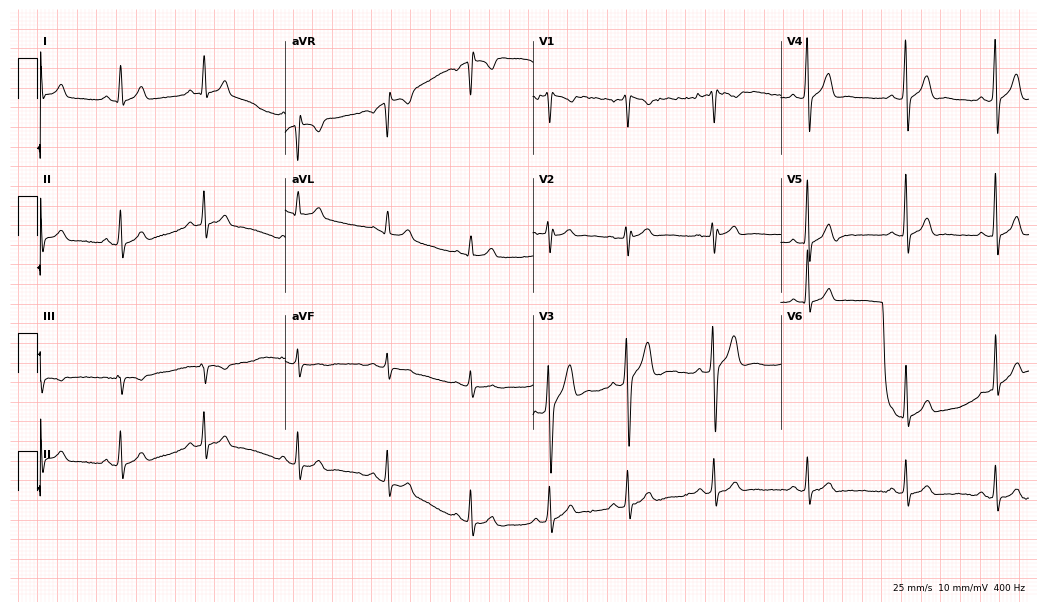
ECG — a 28-year-old male. Screened for six findings — first-degree AV block, right bundle branch block (RBBB), left bundle branch block (LBBB), sinus bradycardia, atrial fibrillation (AF), sinus tachycardia — none is recorded. Only these six findings were labelled.